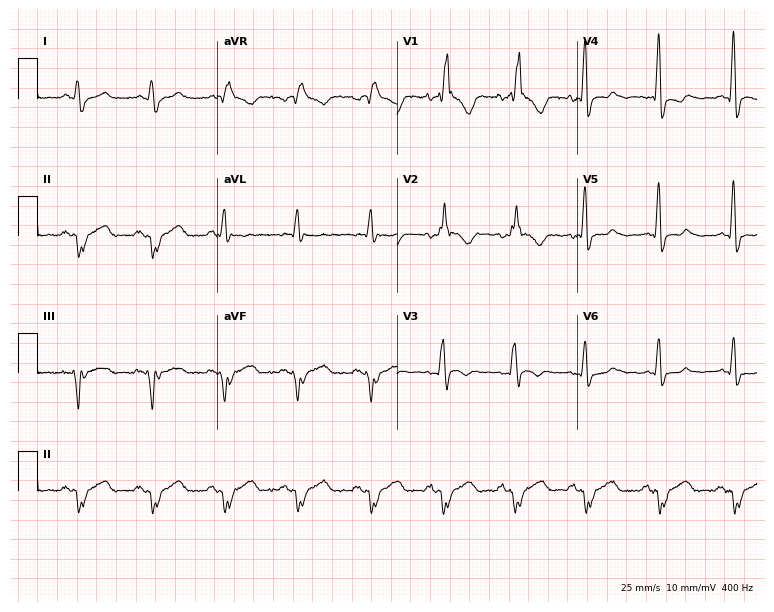
12-lead ECG from a 41-year-old man. Shows right bundle branch block.